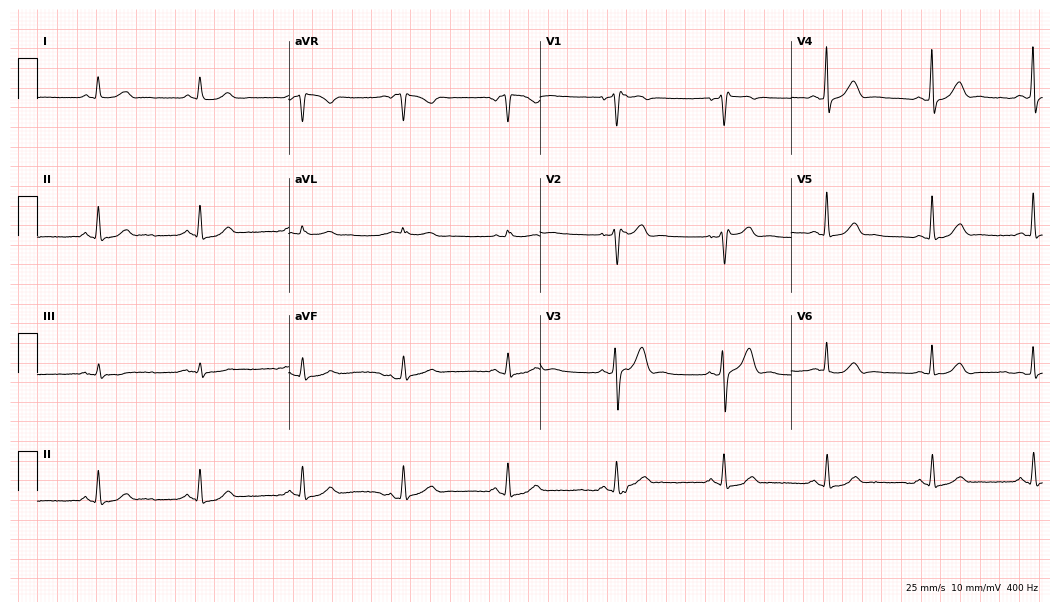
ECG — a 49-year-old male patient. Screened for six findings — first-degree AV block, right bundle branch block (RBBB), left bundle branch block (LBBB), sinus bradycardia, atrial fibrillation (AF), sinus tachycardia — none is recorded.